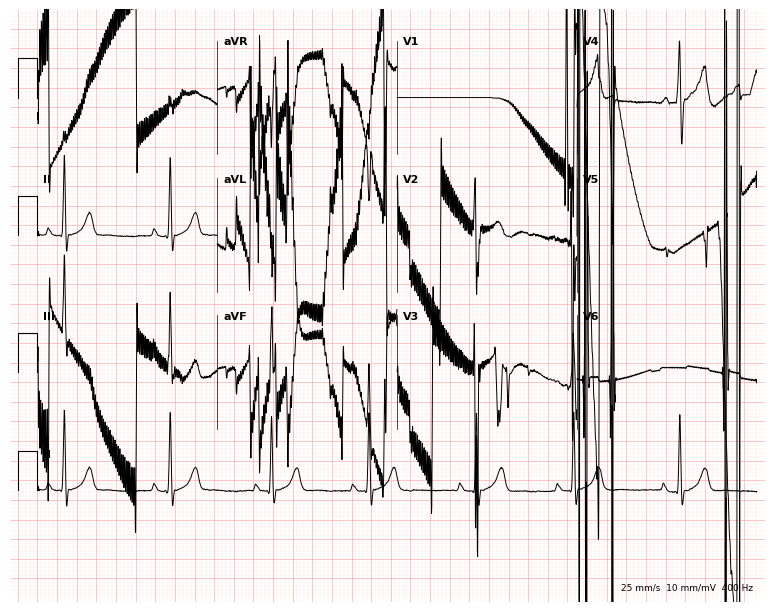
Standard 12-lead ECG recorded from an 18-year-old male patient (7.3-second recording at 400 Hz). None of these six findings is recorded: first-degree AV block, right bundle branch block, left bundle branch block, sinus bradycardia, atrial fibrillation, sinus tachycardia. Other findings, if any, are not listed.